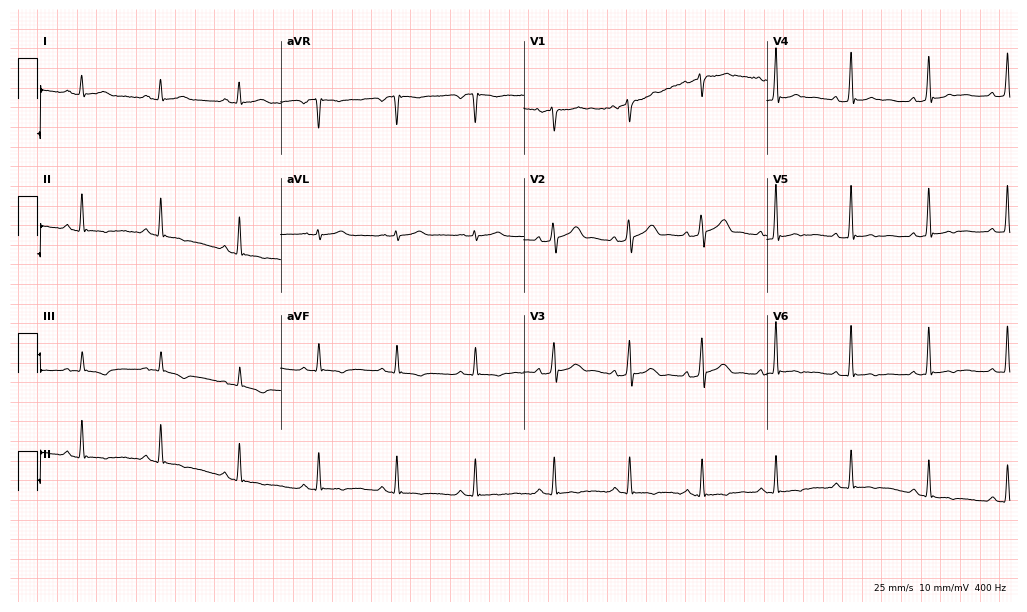
ECG — a 40-year-old man. Labelled as a normal ECG.